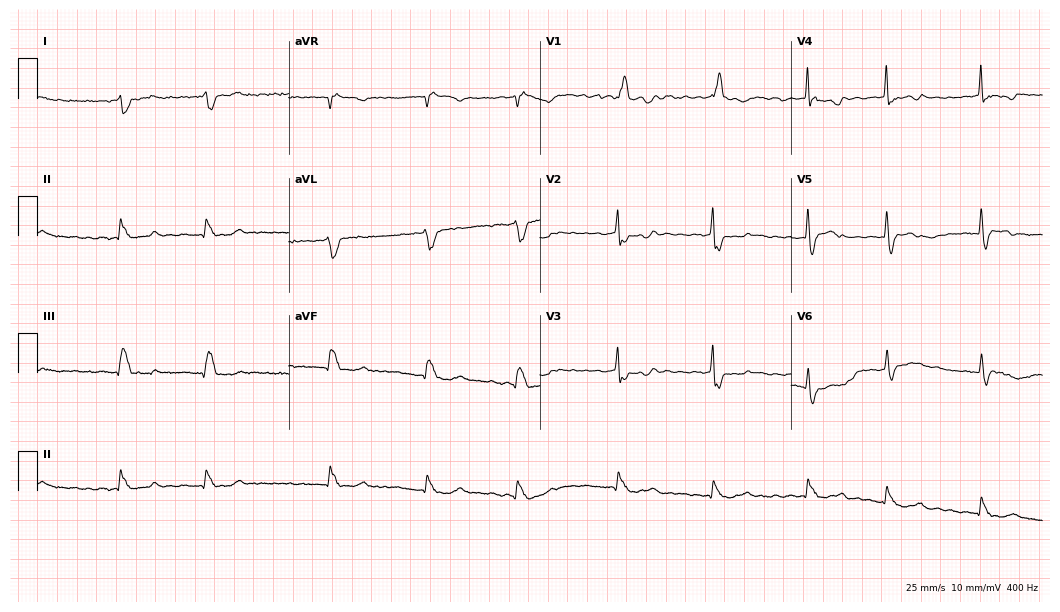
12-lead ECG from a female patient, 68 years old. Findings include right bundle branch block (RBBB), atrial fibrillation (AF).